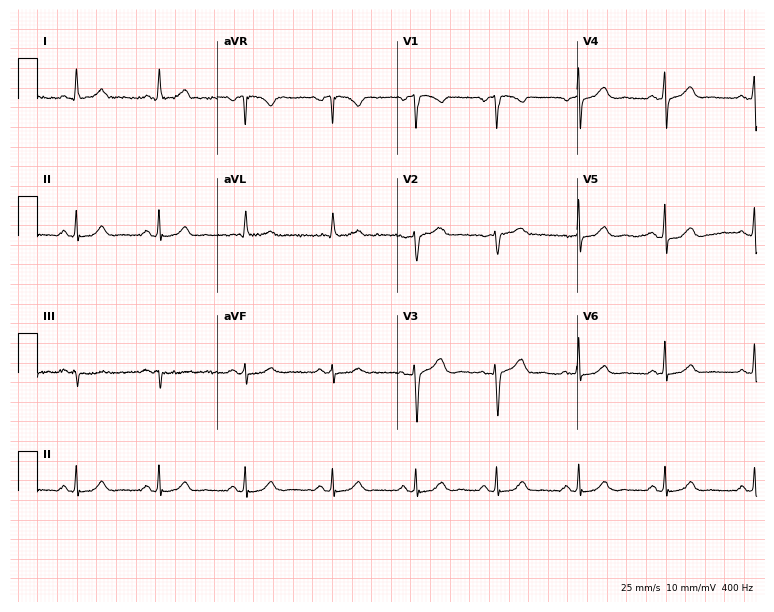
ECG — a female patient, 49 years old. Labelled as a normal ECG.